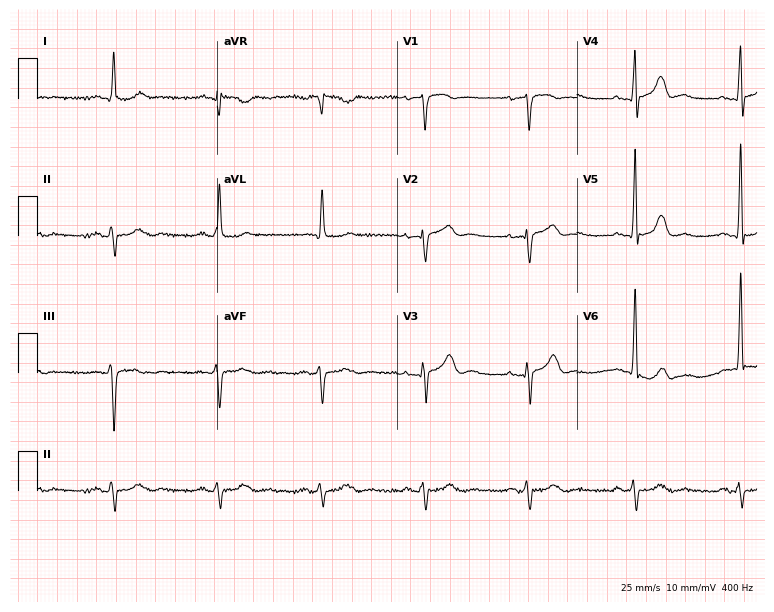
Resting 12-lead electrocardiogram. Patient: a male, 82 years old. None of these six findings is recorded: first-degree AV block, right bundle branch block (RBBB), left bundle branch block (LBBB), sinus bradycardia, atrial fibrillation (AF), sinus tachycardia. Only these six findings were labelled.